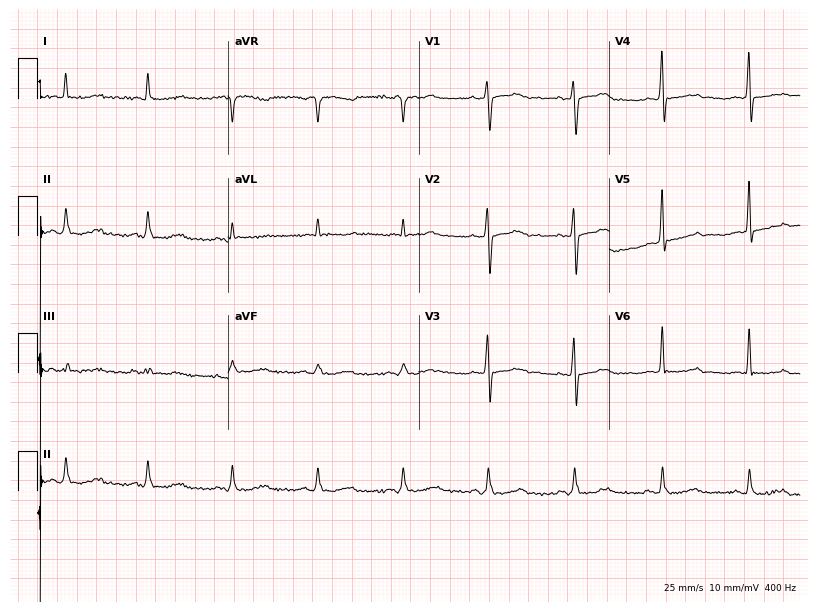
12-lead ECG from a 78-year-old man (7.8-second recording at 400 Hz). No first-degree AV block, right bundle branch block, left bundle branch block, sinus bradycardia, atrial fibrillation or sinus tachycardia recorded for this tracing. Other findings, if any, are not listed.